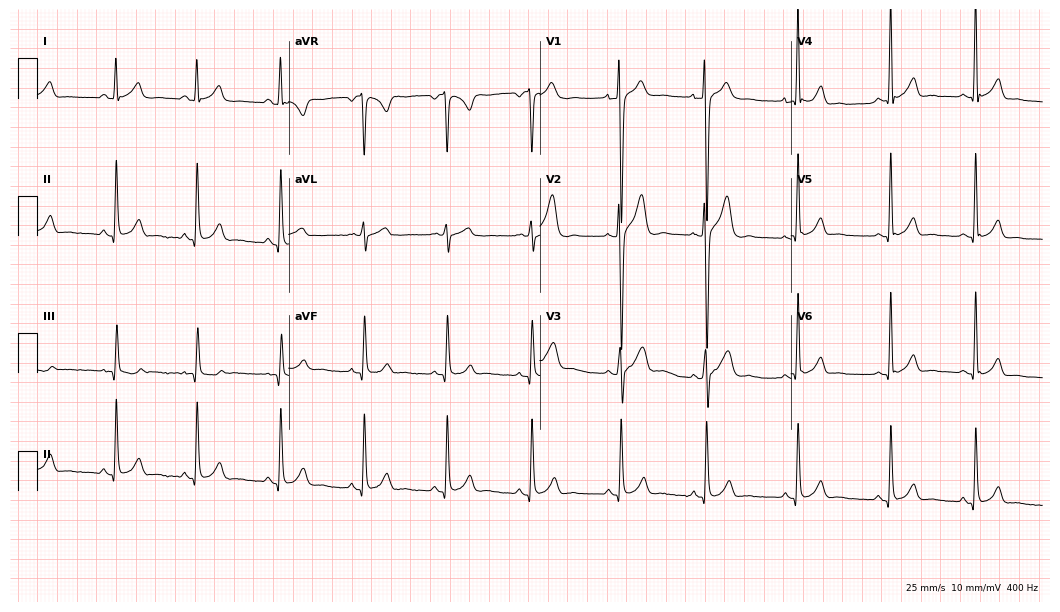
Standard 12-lead ECG recorded from a 17-year-old male patient. Read as a normal ECG.